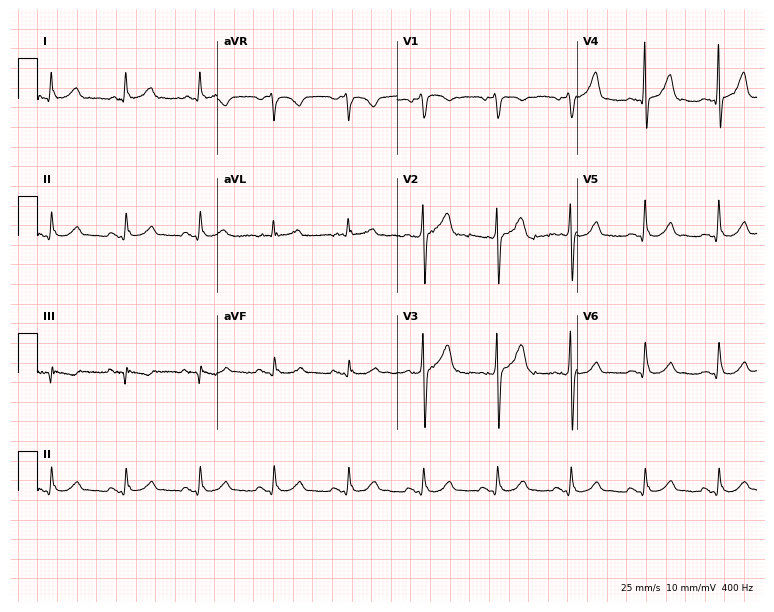
Standard 12-lead ECG recorded from a 58-year-old male patient (7.3-second recording at 400 Hz). Read as a normal ECG.